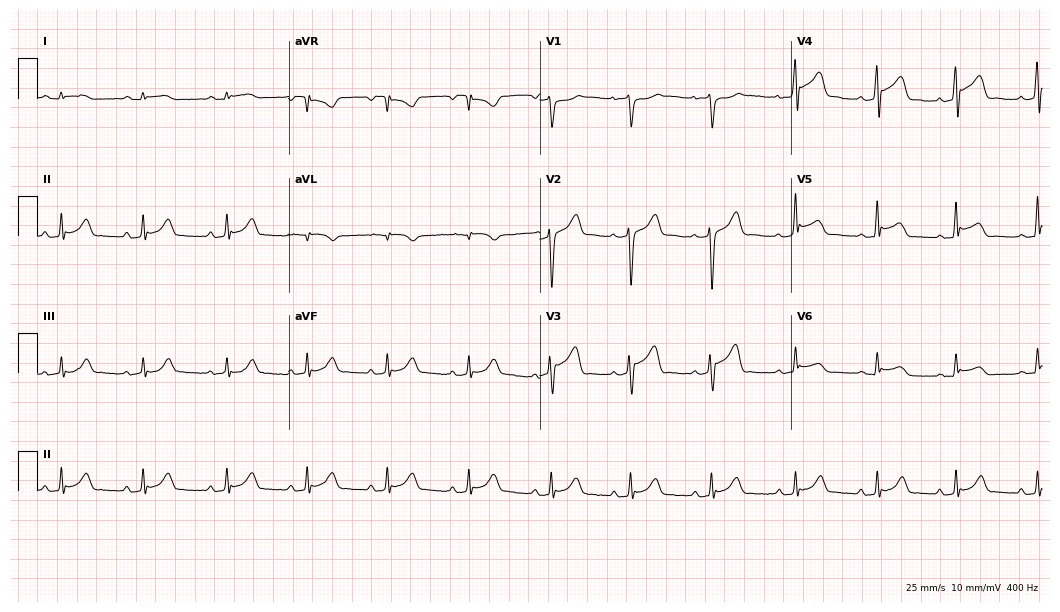
ECG — a male patient, 23 years old. Screened for six findings — first-degree AV block, right bundle branch block, left bundle branch block, sinus bradycardia, atrial fibrillation, sinus tachycardia — none is recorded.